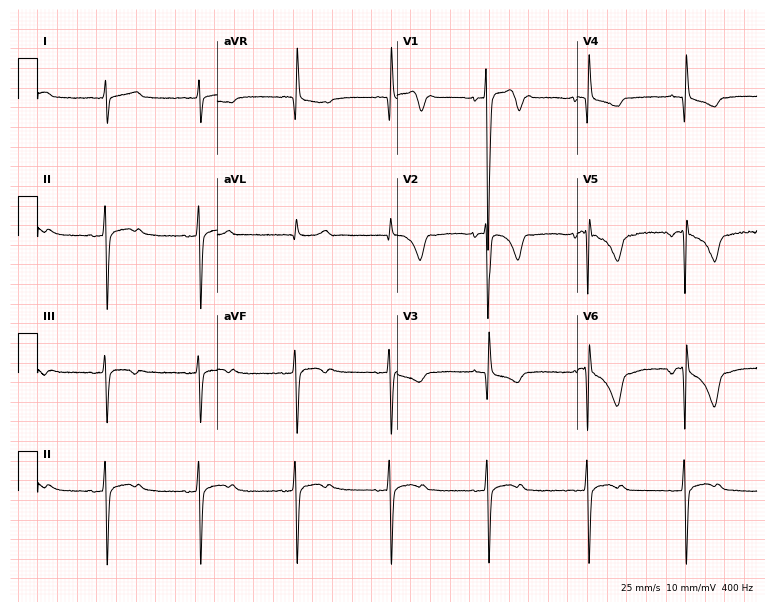
Electrocardiogram (7.3-second recording at 400 Hz), a 23-year-old man. Of the six screened findings (first-degree AV block, right bundle branch block, left bundle branch block, sinus bradycardia, atrial fibrillation, sinus tachycardia), none is recorded. Findings outside these six are not listed.